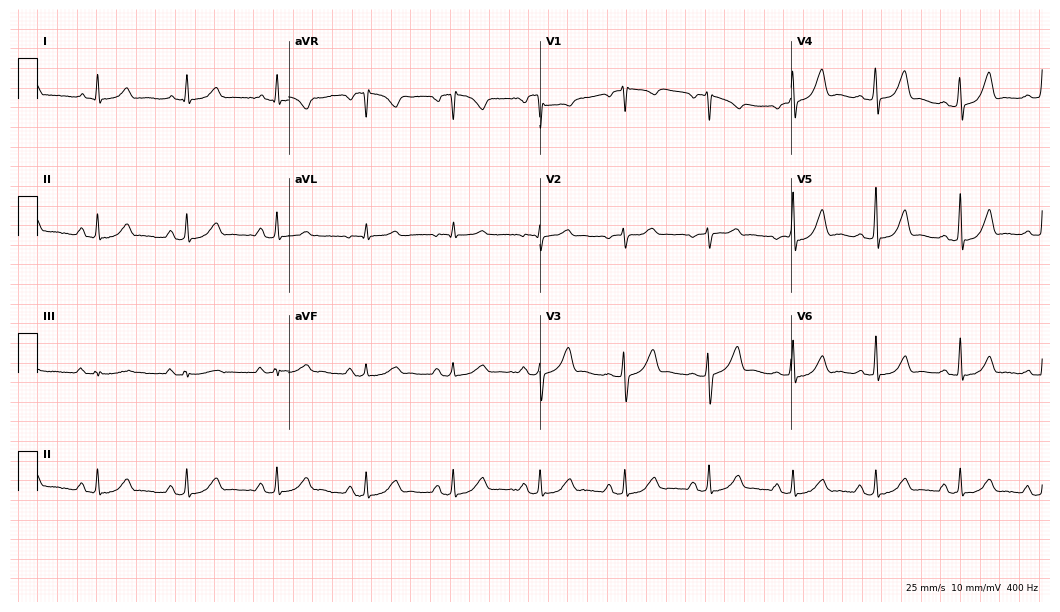
12-lead ECG from a female, 49 years old. No first-degree AV block, right bundle branch block, left bundle branch block, sinus bradycardia, atrial fibrillation or sinus tachycardia recorded for this tracing.